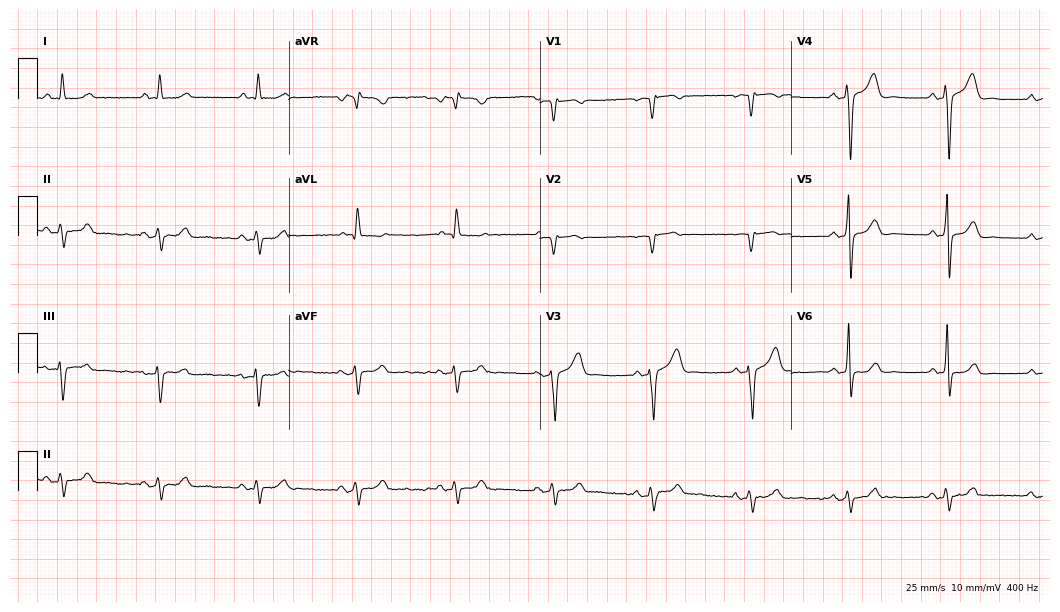
12-lead ECG from a 36-year-old male patient. No first-degree AV block, right bundle branch block, left bundle branch block, sinus bradycardia, atrial fibrillation or sinus tachycardia recorded for this tracing. Other findings, if any, are not listed.